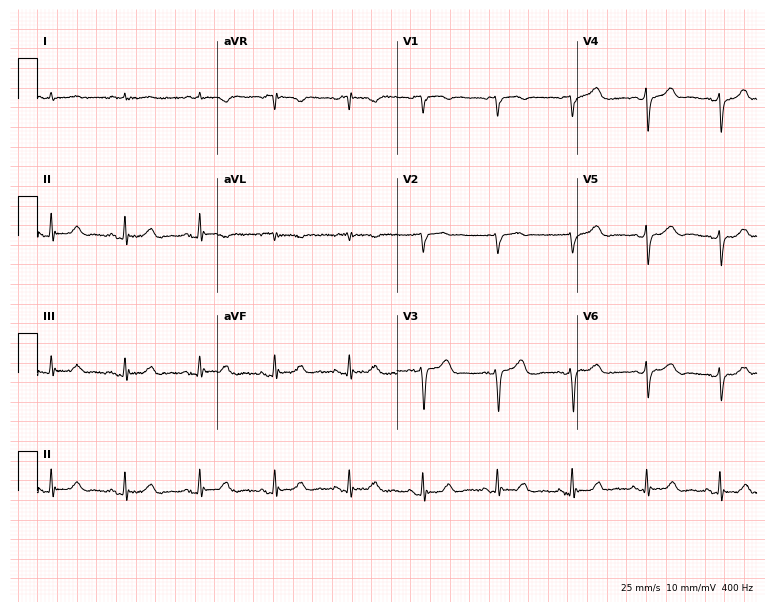
ECG (7.3-second recording at 400 Hz) — a woman, 70 years old. Screened for six findings — first-degree AV block, right bundle branch block, left bundle branch block, sinus bradycardia, atrial fibrillation, sinus tachycardia — none is recorded. Other findings, if any, are not listed.